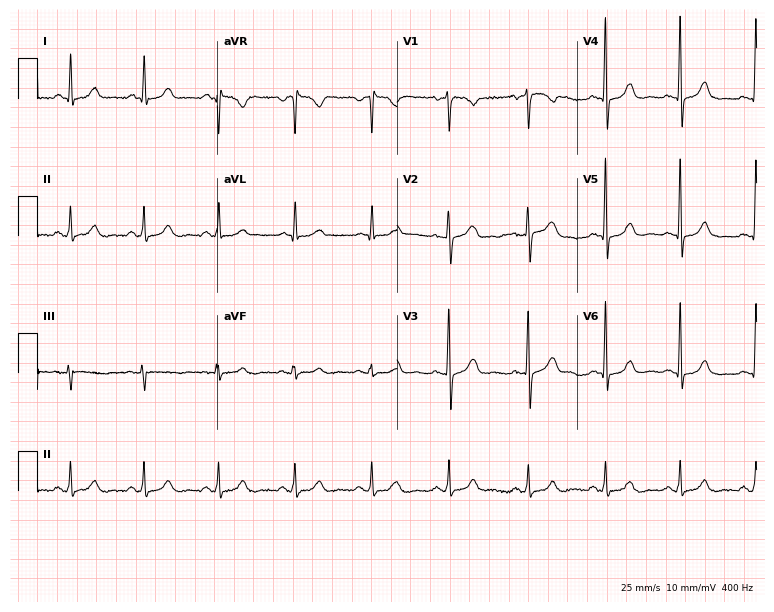
12-lead ECG from a 43-year-old woman (7.3-second recording at 400 Hz). No first-degree AV block, right bundle branch block, left bundle branch block, sinus bradycardia, atrial fibrillation or sinus tachycardia recorded for this tracing. Only these six findings were labelled.